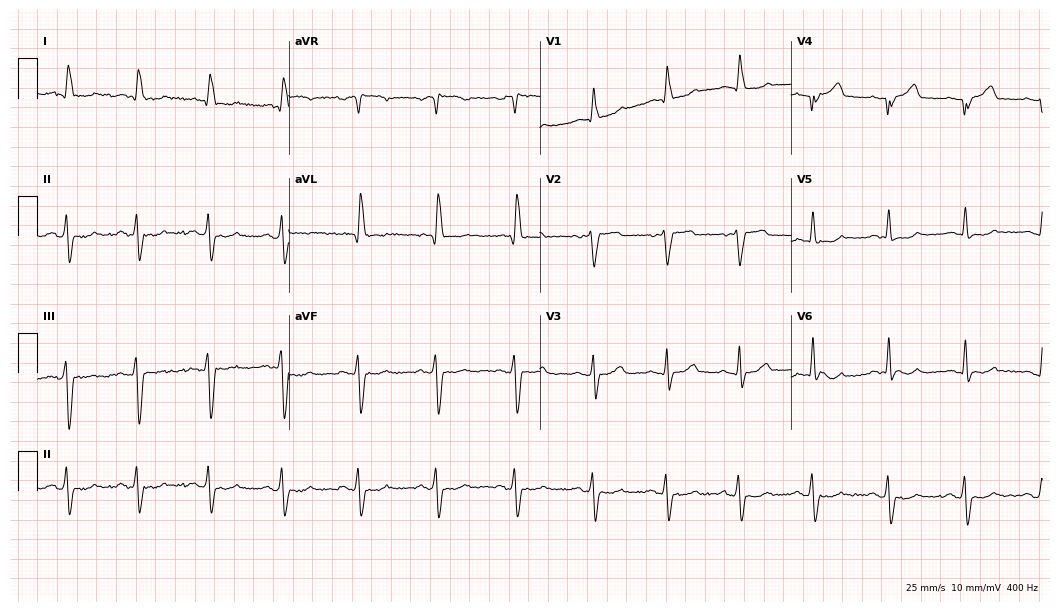
Resting 12-lead electrocardiogram. Patient: a female, 70 years old. None of these six findings is recorded: first-degree AV block, right bundle branch block, left bundle branch block, sinus bradycardia, atrial fibrillation, sinus tachycardia. Only these six findings were labelled.